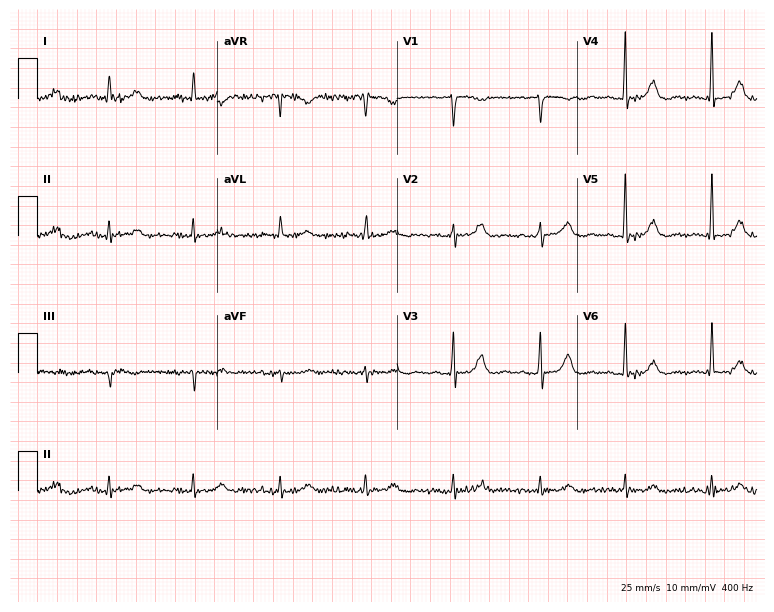
ECG (7.3-second recording at 400 Hz) — a woman, 73 years old. Labelled as a normal ECG.